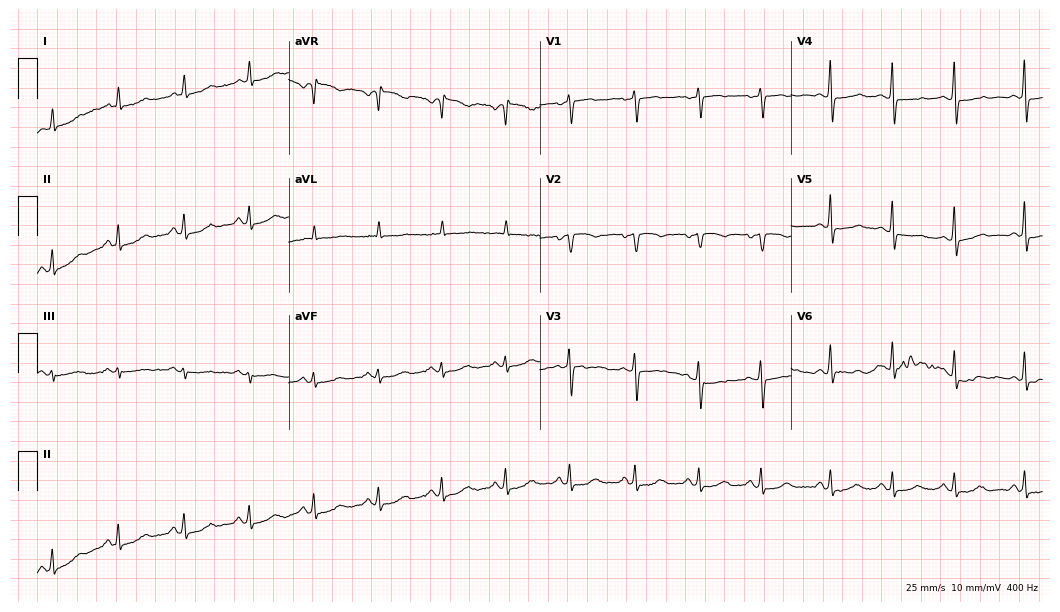
12-lead ECG from a female patient, 76 years old (10.2-second recording at 400 Hz). No first-degree AV block, right bundle branch block, left bundle branch block, sinus bradycardia, atrial fibrillation or sinus tachycardia recorded for this tracing.